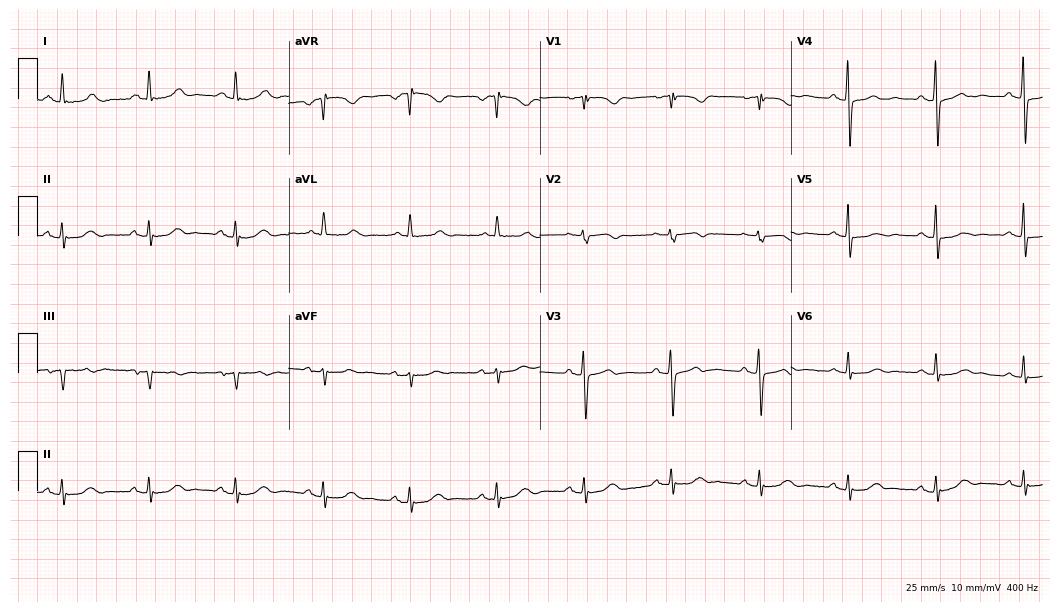
ECG — a woman, 61 years old. Screened for six findings — first-degree AV block, right bundle branch block (RBBB), left bundle branch block (LBBB), sinus bradycardia, atrial fibrillation (AF), sinus tachycardia — none is recorded.